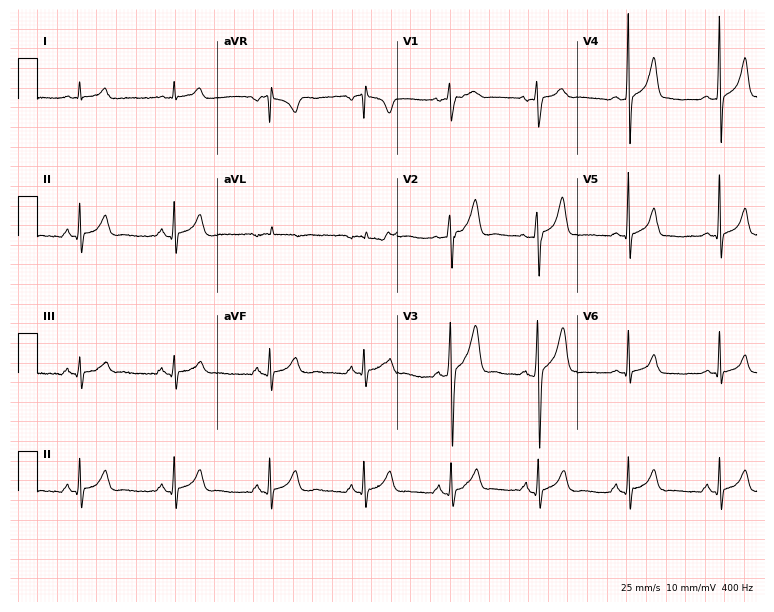
Standard 12-lead ECG recorded from a 19-year-old man. Read as a normal ECG.